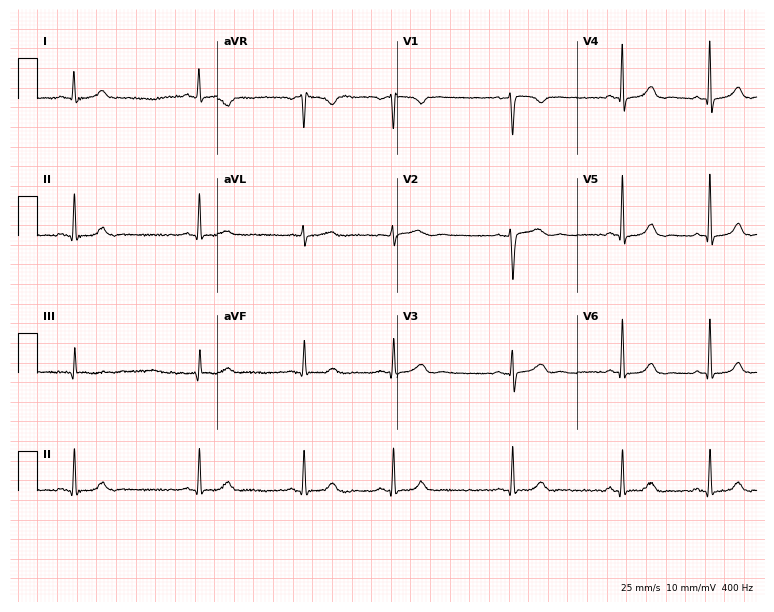
ECG — a 47-year-old woman. Screened for six findings — first-degree AV block, right bundle branch block, left bundle branch block, sinus bradycardia, atrial fibrillation, sinus tachycardia — none is recorded. Other findings, if any, are not listed.